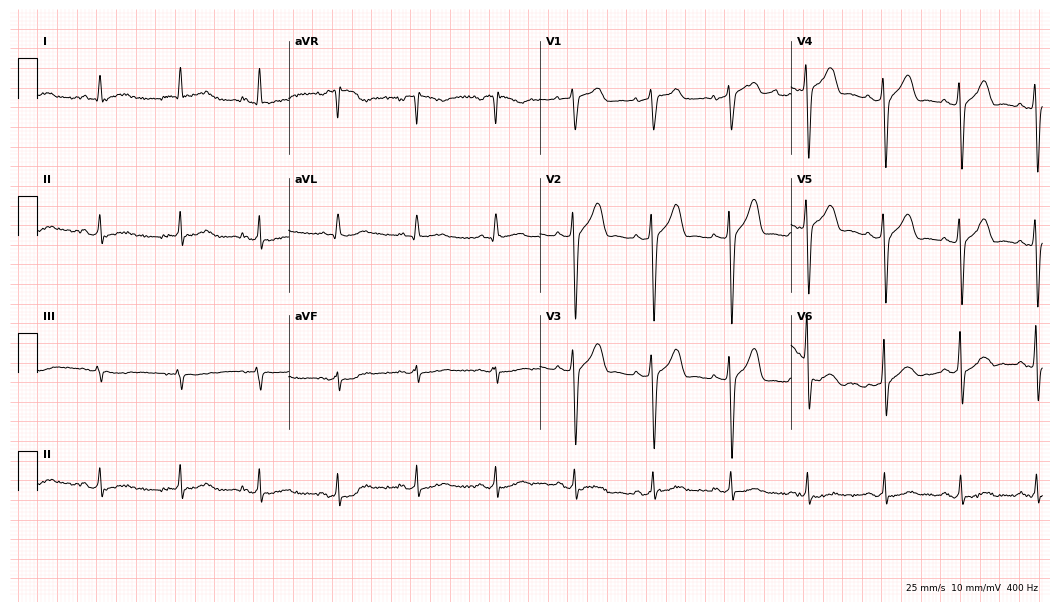
12-lead ECG from a 69-year-old man (10.2-second recording at 400 Hz). Recorded interpretation: within normal limits.